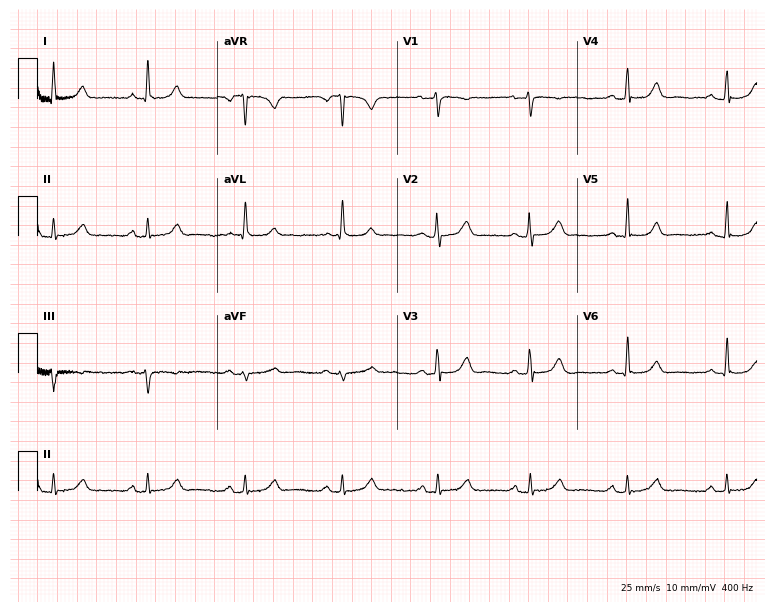
Electrocardiogram, a woman, 65 years old. Overall reading on record: normal ECG.